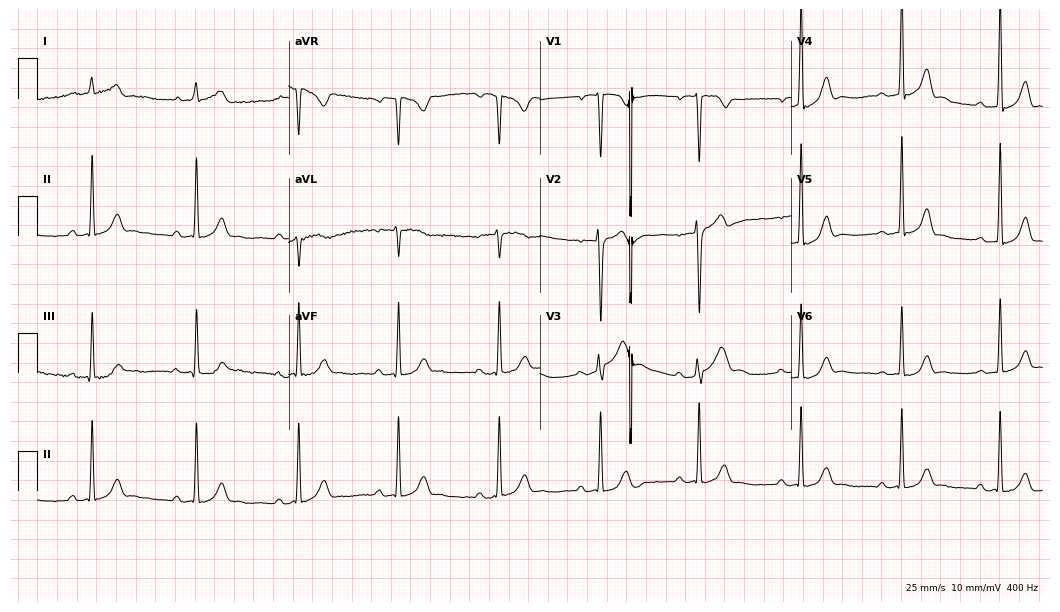
12-lead ECG from a man, 27 years old. Labelled as a normal ECG.